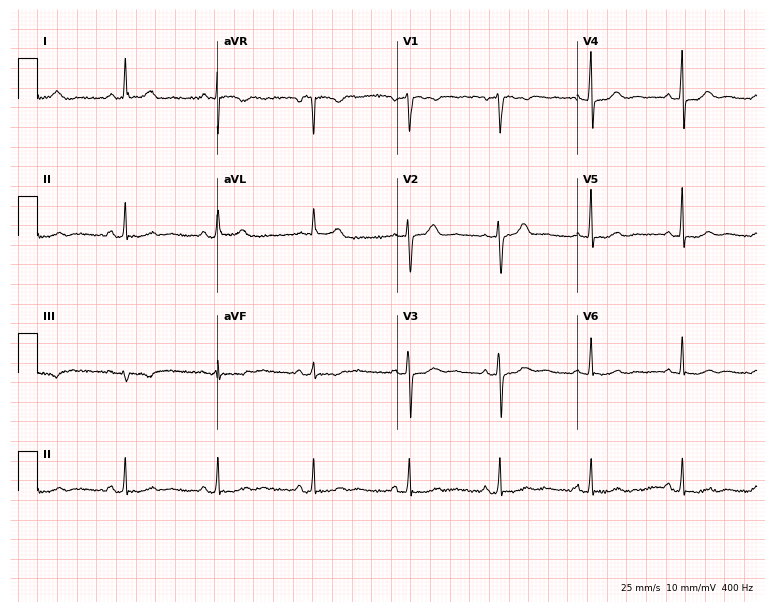
Electrocardiogram (7.3-second recording at 400 Hz), a 55-year-old female patient. Overall reading on record: normal ECG.